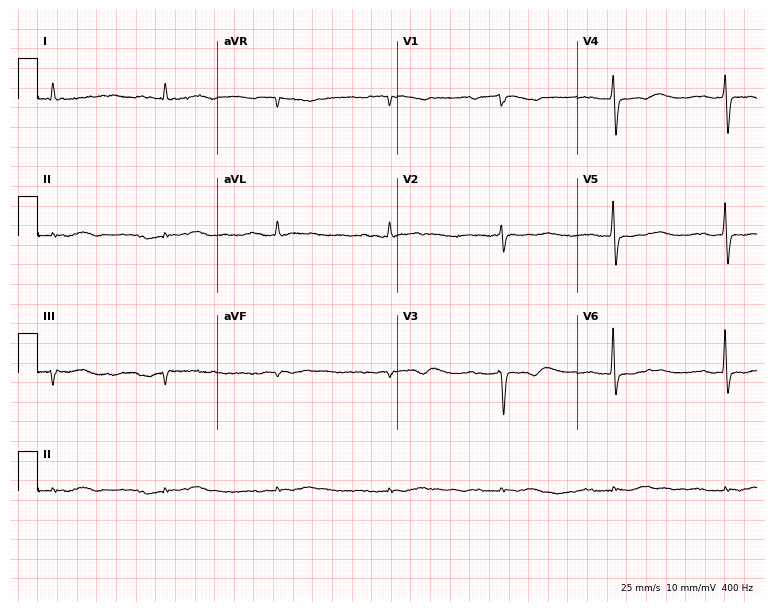
12-lead ECG from a 79-year-old male patient (7.3-second recording at 400 Hz). Shows first-degree AV block.